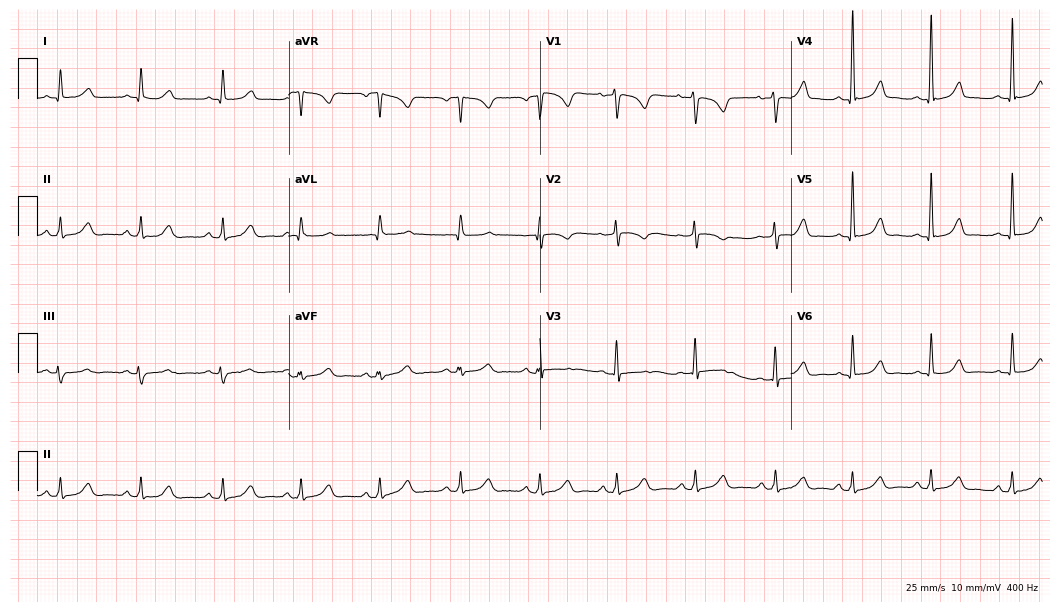
Electrocardiogram, a 44-year-old female. Overall reading on record: normal ECG.